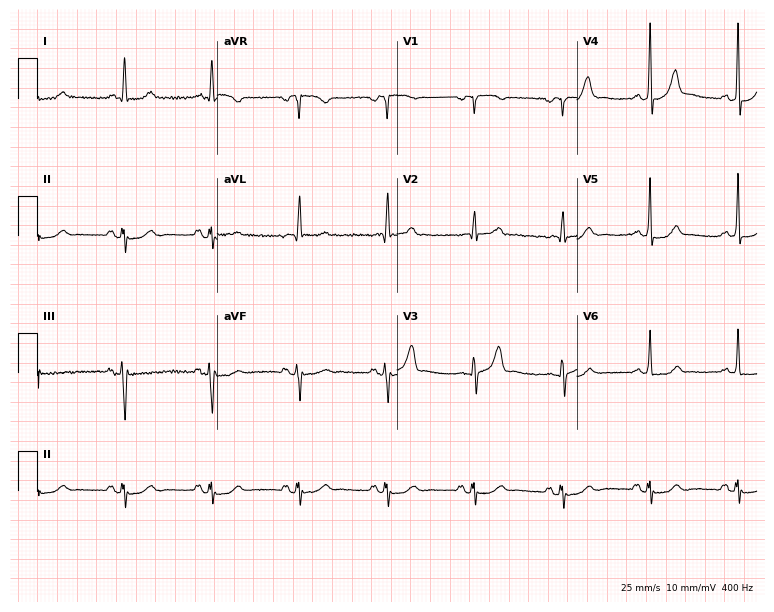
12-lead ECG from a 57-year-old man. Screened for six findings — first-degree AV block, right bundle branch block, left bundle branch block, sinus bradycardia, atrial fibrillation, sinus tachycardia — none is recorded. Other findings, if any, are not listed.